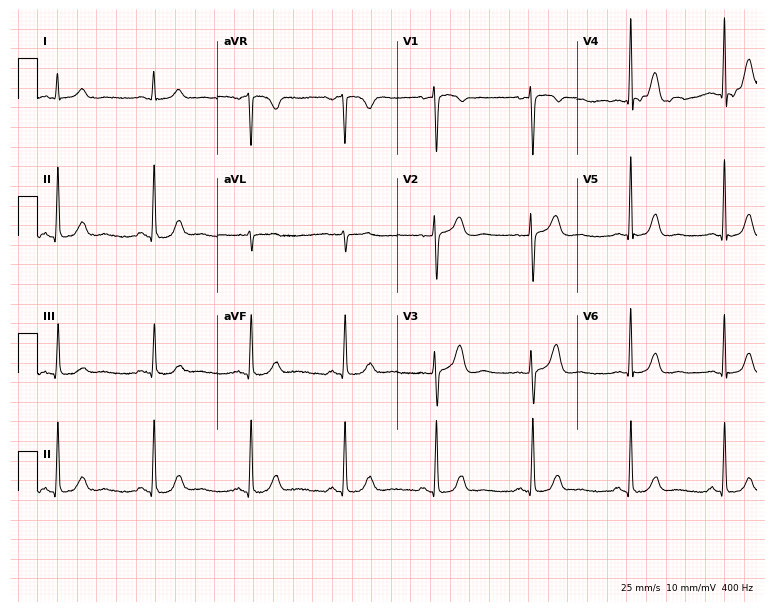
12-lead ECG from a female patient, 47 years old. No first-degree AV block, right bundle branch block (RBBB), left bundle branch block (LBBB), sinus bradycardia, atrial fibrillation (AF) or sinus tachycardia recorded for this tracing. Findings outside these six are not listed.